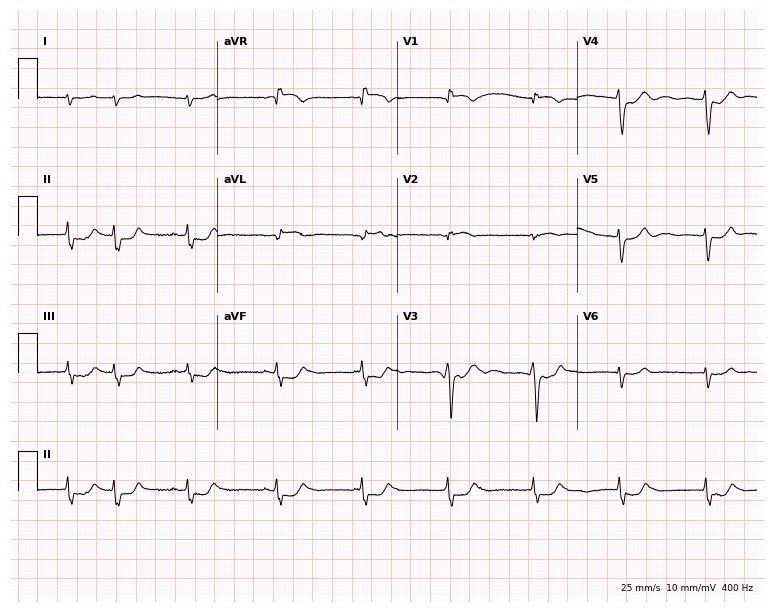
12-lead ECG from a 77-year-old male (7.3-second recording at 400 Hz). No first-degree AV block, right bundle branch block (RBBB), left bundle branch block (LBBB), sinus bradycardia, atrial fibrillation (AF) or sinus tachycardia recorded for this tracing.